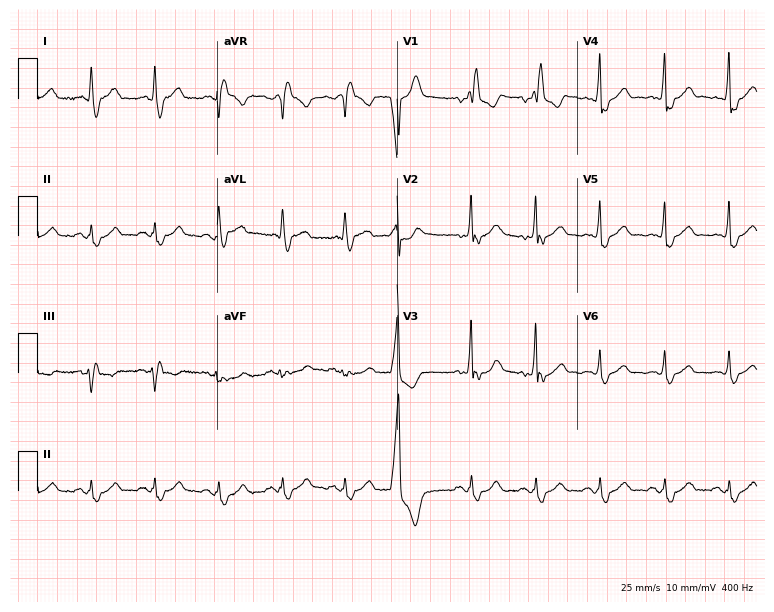
Resting 12-lead electrocardiogram (7.3-second recording at 400 Hz). Patient: a 76-year-old woman. The tracing shows right bundle branch block.